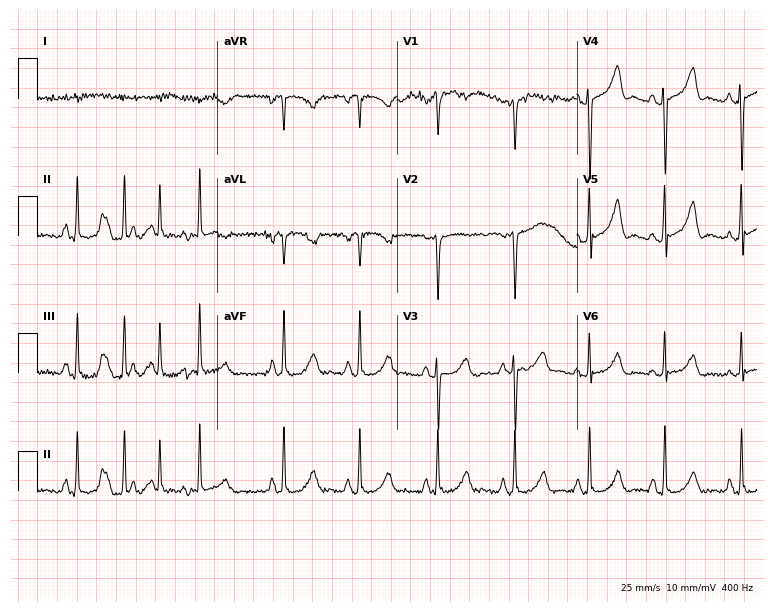
12-lead ECG from a male, 62 years old. No first-degree AV block, right bundle branch block, left bundle branch block, sinus bradycardia, atrial fibrillation or sinus tachycardia recorded for this tracing.